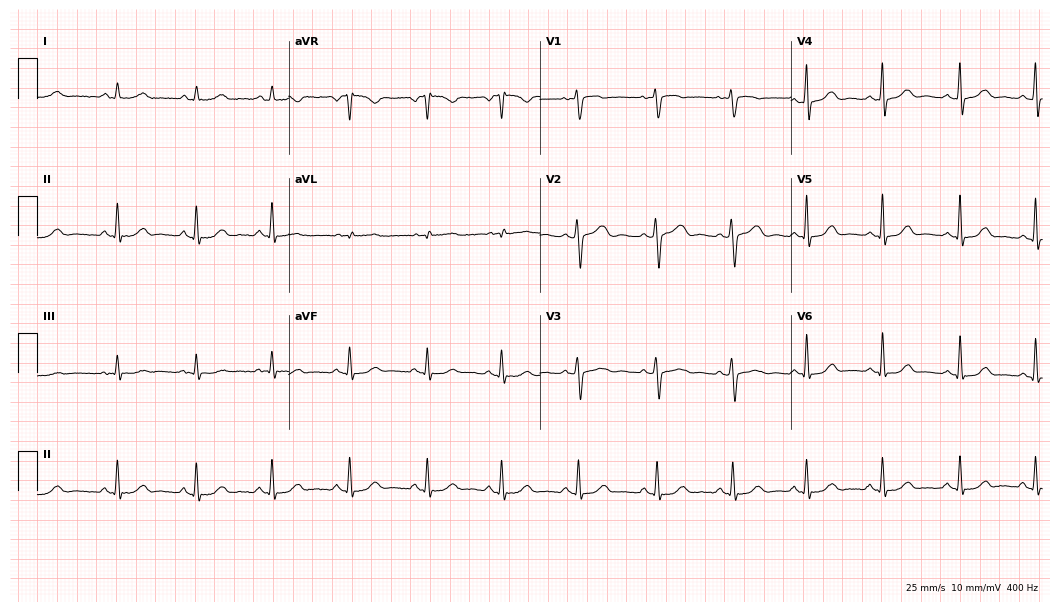
12-lead ECG from a 43-year-old female. Screened for six findings — first-degree AV block, right bundle branch block, left bundle branch block, sinus bradycardia, atrial fibrillation, sinus tachycardia — none is recorded.